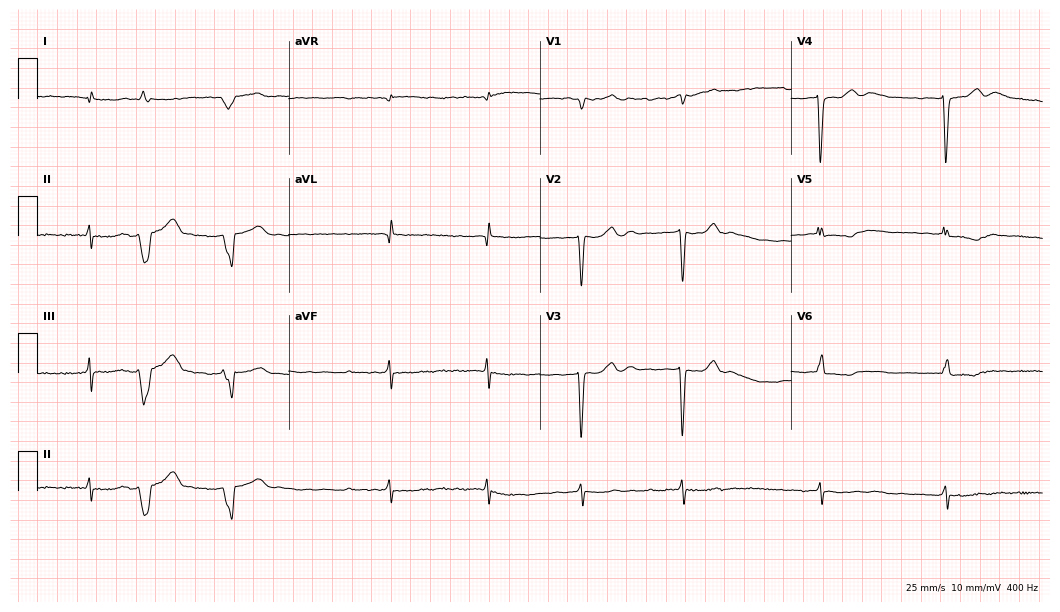
12-lead ECG from a 70-year-old male. No first-degree AV block, right bundle branch block, left bundle branch block, sinus bradycardia, atrial fibrillation or sinus tachycardia recorded for this tracing. Other findings, if any, are not listed.